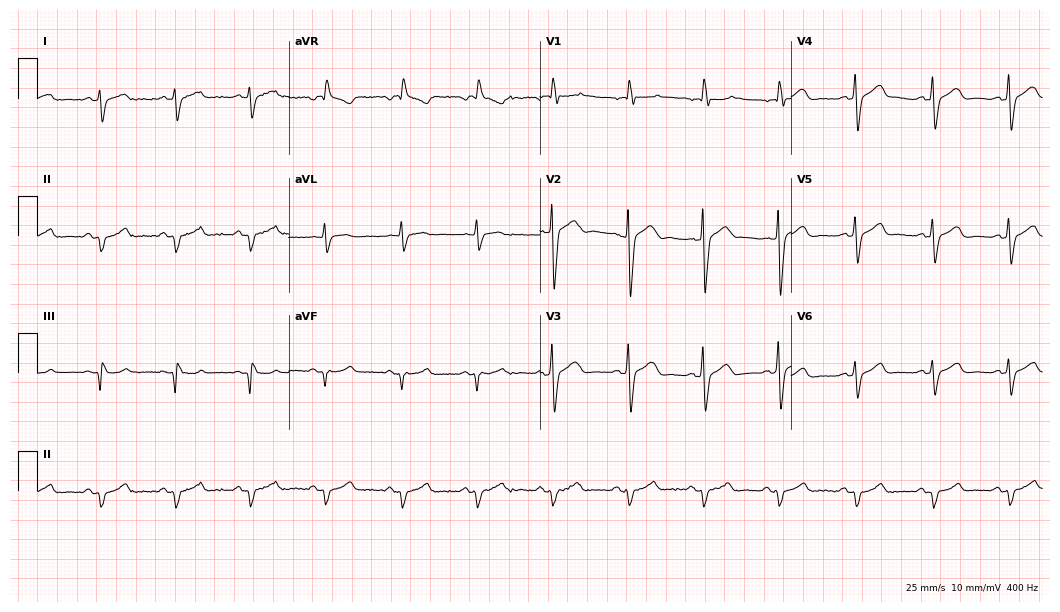
12-lead ECG from a 63-year-old male patient (10.2-second recording at 400 Hz). No first-degree AV block, right bundle branch block, left bundle branch block, sinus bradycardia, atrial fibrillation or sinus tachycardia recorded for this tracing. Findings outside these six are not listed.